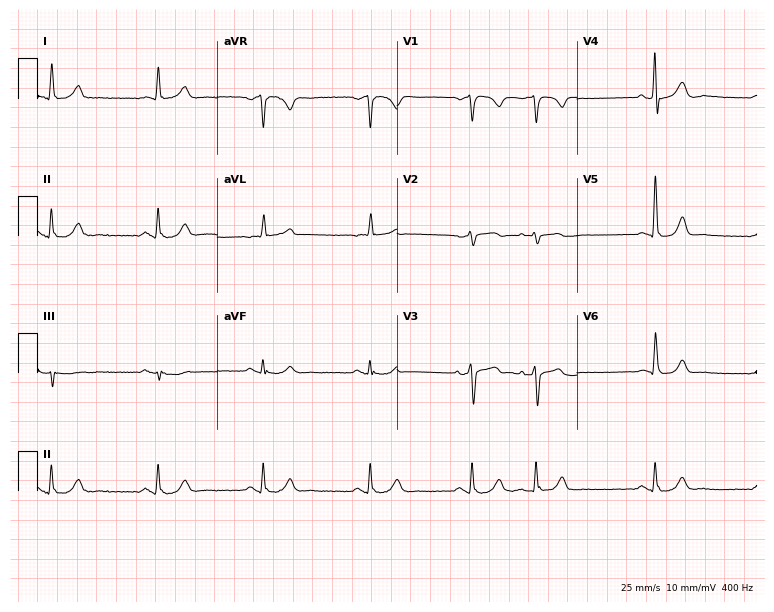
Resting 12-lead electrocardiogram. Patient: a 71-year-old male. None of these six findings is recorded: first-degree AV block, right bundle branch block, left bundle branch block, sinus bradycardia, atrial fibrillation, sinus tachycardia.